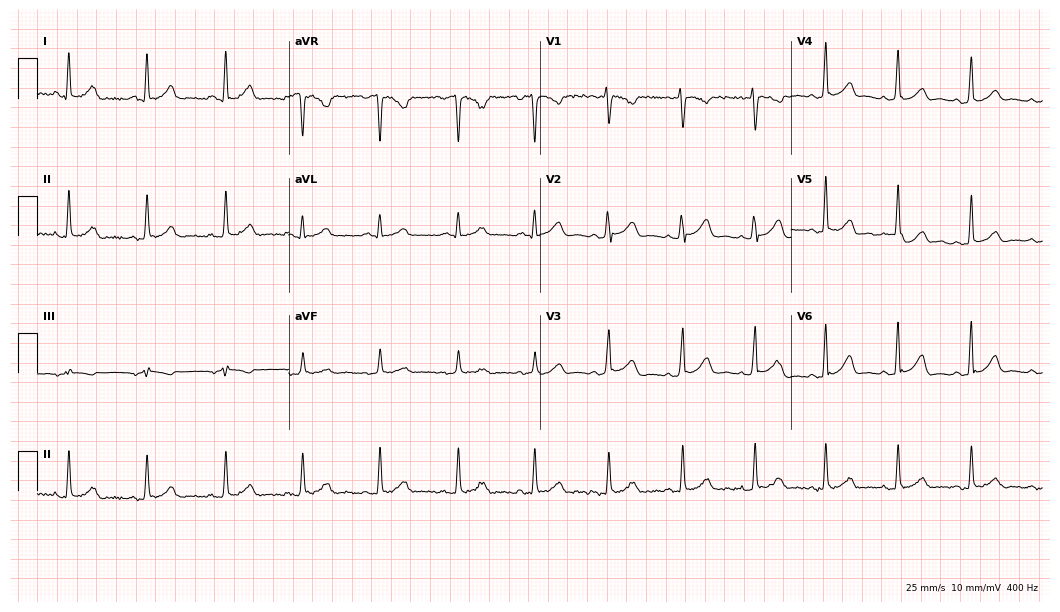
12-lead ECG (10.2-second recording at 400 Hz) from a 34-year-old female. Labelled as a normal ECG.